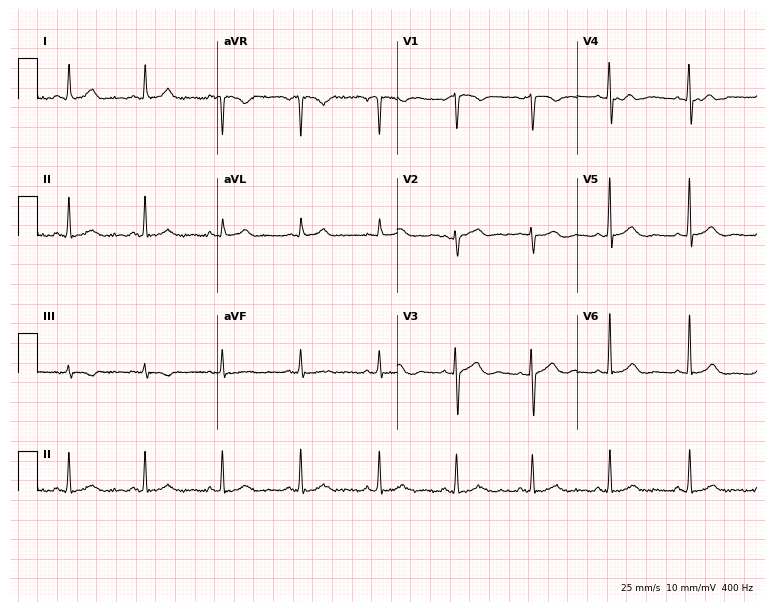
Electrocardiogram, a woman, 39 years old. Overall reading on record: normal ECG.